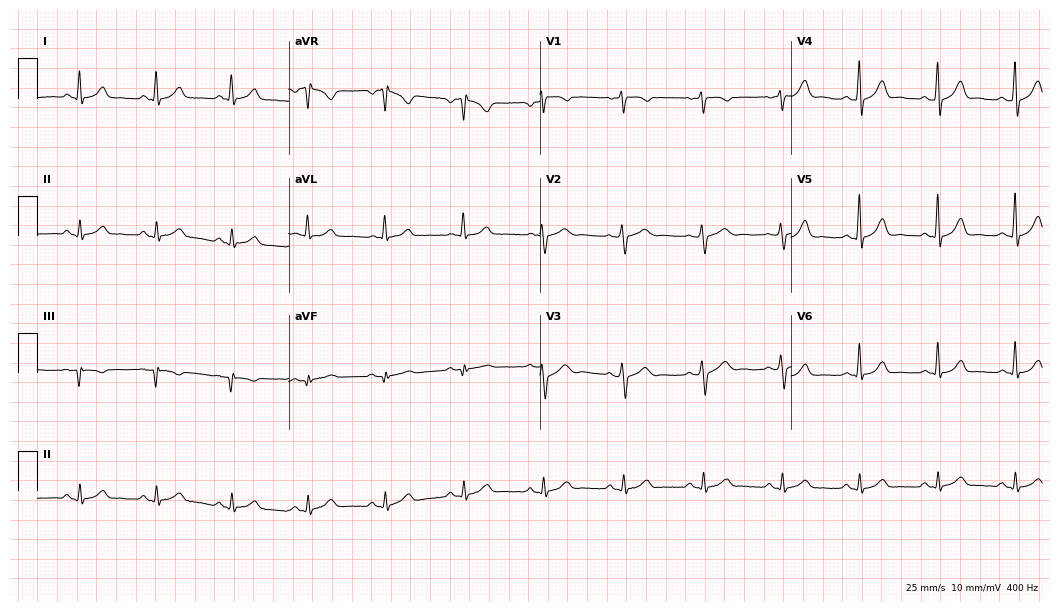
Electrocardiogram, a female patient, 54 years old. Overall reading on record: normal ECG.